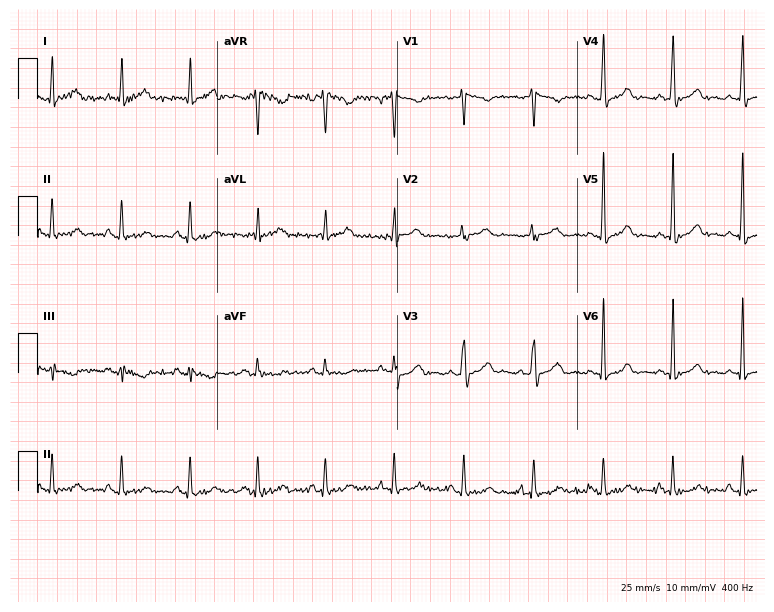
Resting 12-lead electrocardiogram. Patient: a male, 60 years old. None of these six findings is recorded: first-degree AV block, right bundle branch block (RBBB), left bundle branch block (LBBB), sinus bradycardia, atrial fibrillation (AF), sinus tachycardia.